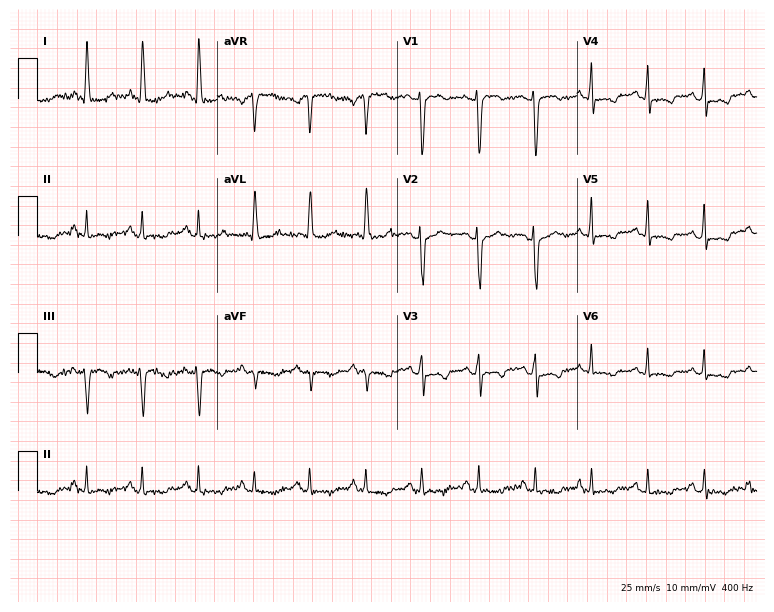
12-lead ECG from a 47-year-old woman. Findings include sinus tachycardia (a sinus rate of 100 beats per minute or more).